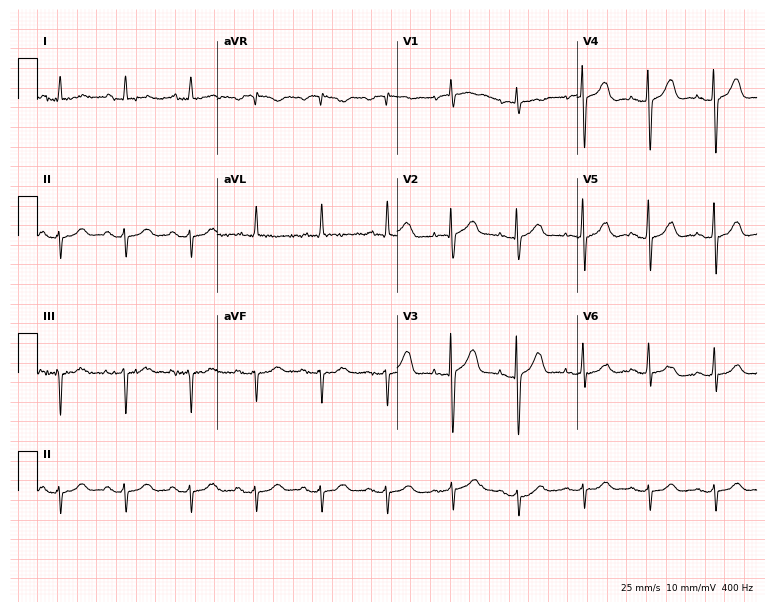
Electrocardiogram (7.3-second recording at 400 Hz), a 78-year-old female. Of the six screened findings (first-degree AV block, right bundle branch block, left bundle branch block, sinus bradycardia, atrial fibrillation, sinus tachycardia), none is recorded.